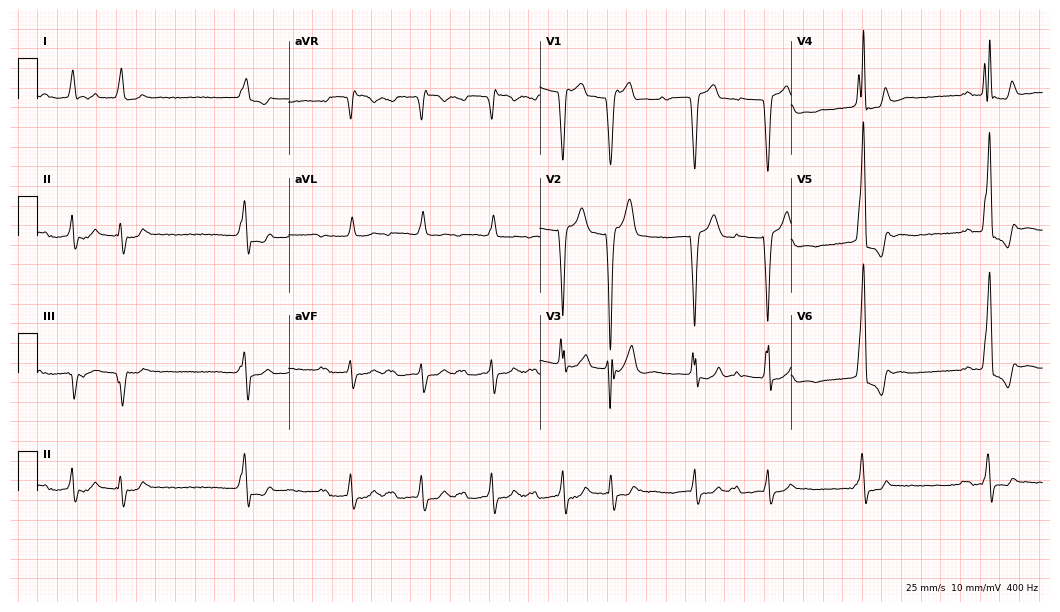
Resting 12-lead electrocardiogram. Patient: a male, 68 years old. The tracing shows first-degree AV block, left bundle branch block (LBBB).